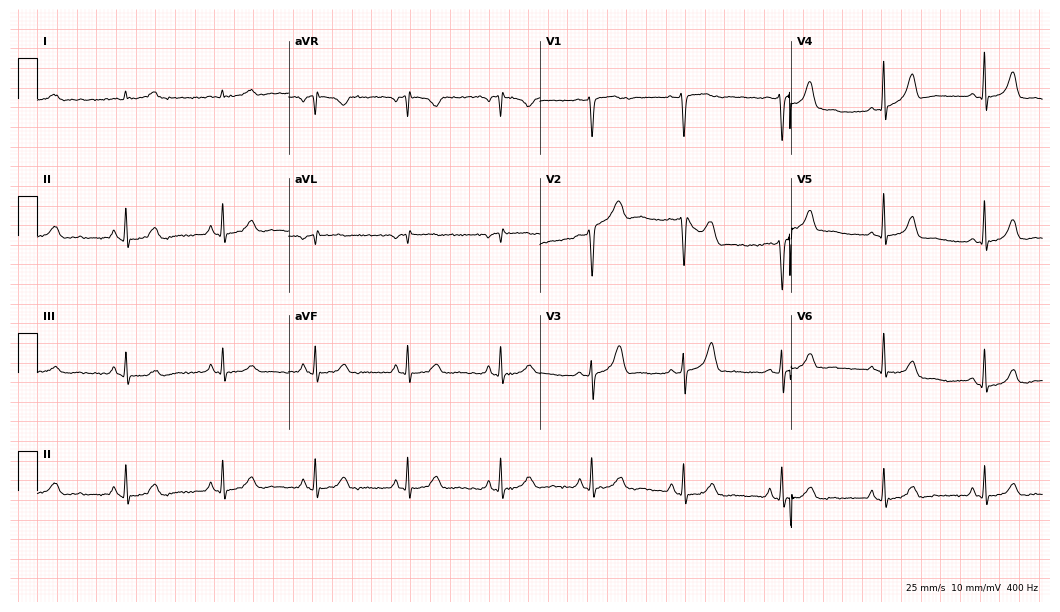
Resting 12-lead electrocardiogram. Patient: a 57-year-old woman. Read as a normal ECG.